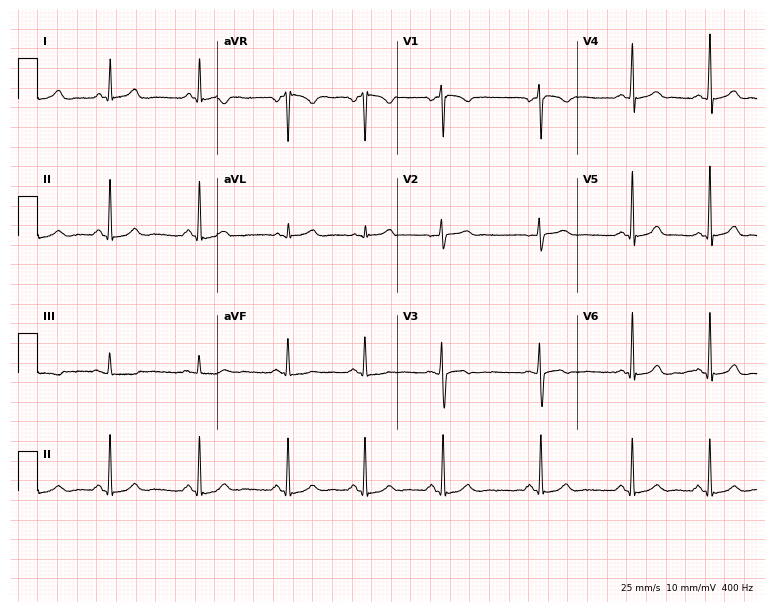
Resting 12-lead electrocardiogram (7.3-second recording at 400 Hz). Patient: a female, 25 years old. Read as a normal ECG.